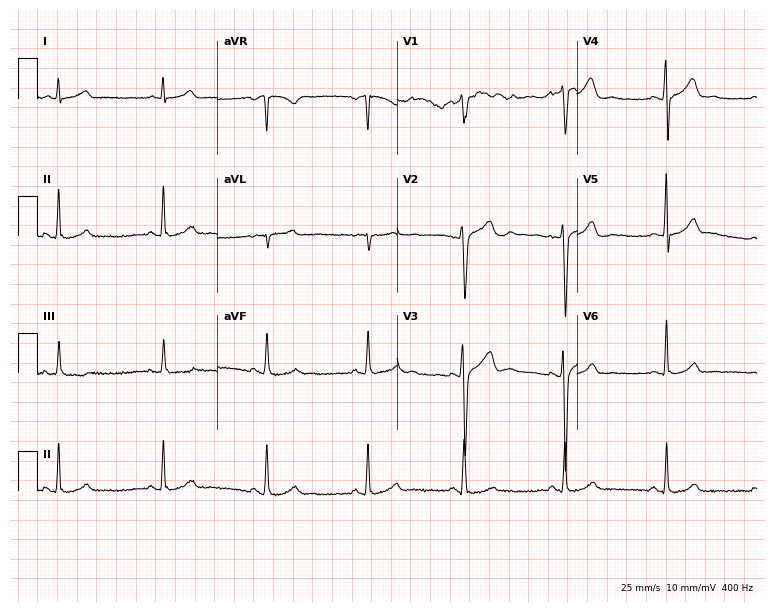
Standard 12-lead ECG recorded from a man, 36 years old. Read as a normal ECG.